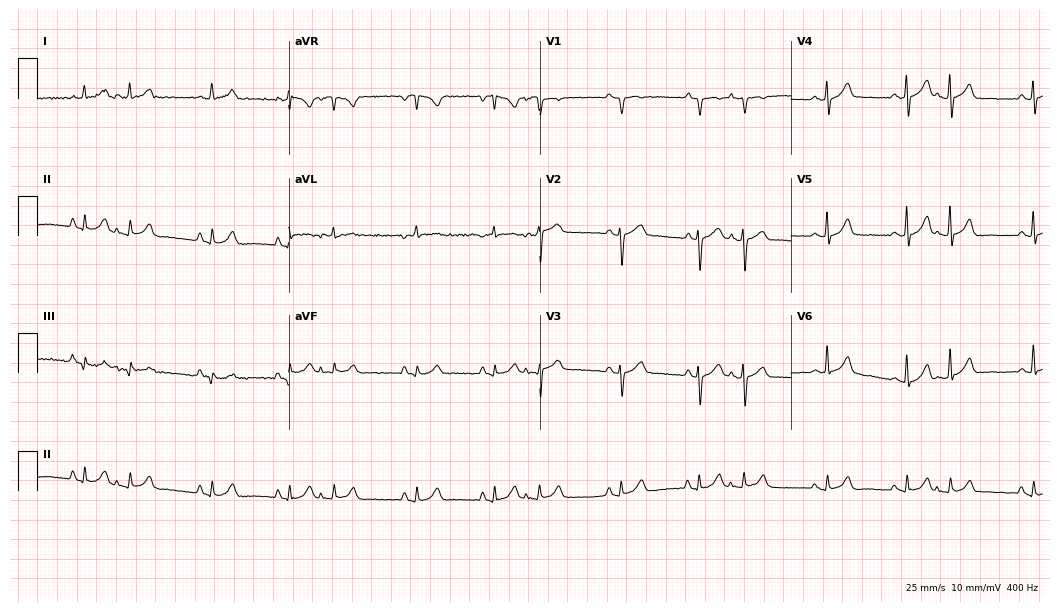
12-lead ECG from a woman, 73 years old. No first-degree AV block, right bundle branch block (RBBB), left bundle branch block (LBBB), sinus bradycardia, atrial fibrillation (AF) or sinus tachycardia recorded for this tracing. Only these six findings were labelled.